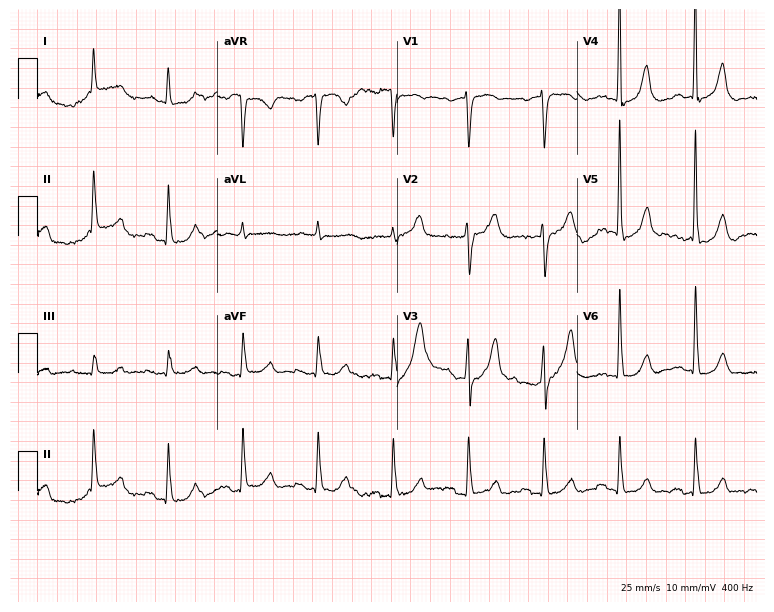
12-lead ECG from an 84-year-old female patient. Labelled as a normal ECG.